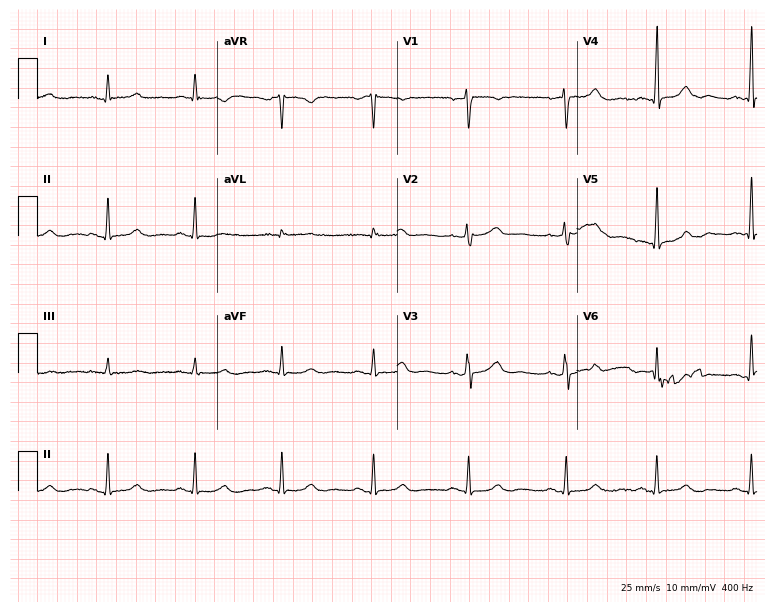
12-lead ECG from a woman, 52 years old. Labelled as a normal ECG.